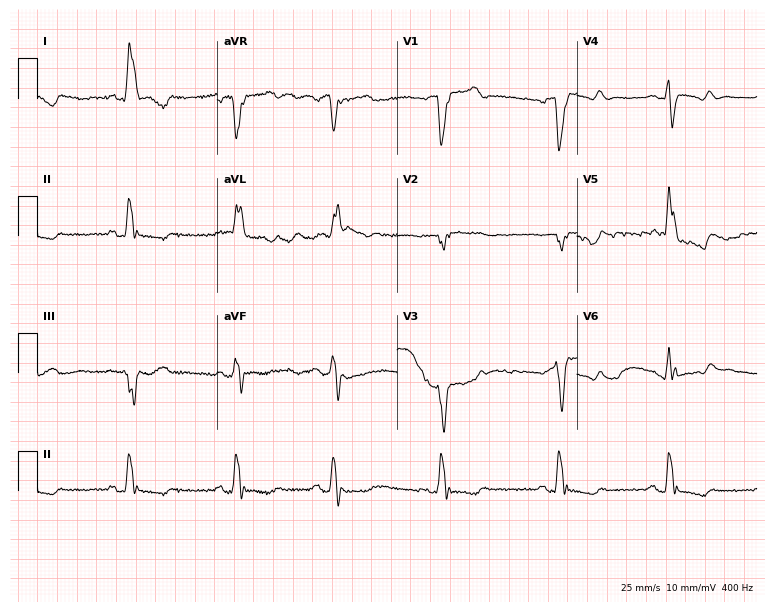
Electrocardiogram, a 66-year-old woman. Interpretation includes left bundle branch block (LBBB).